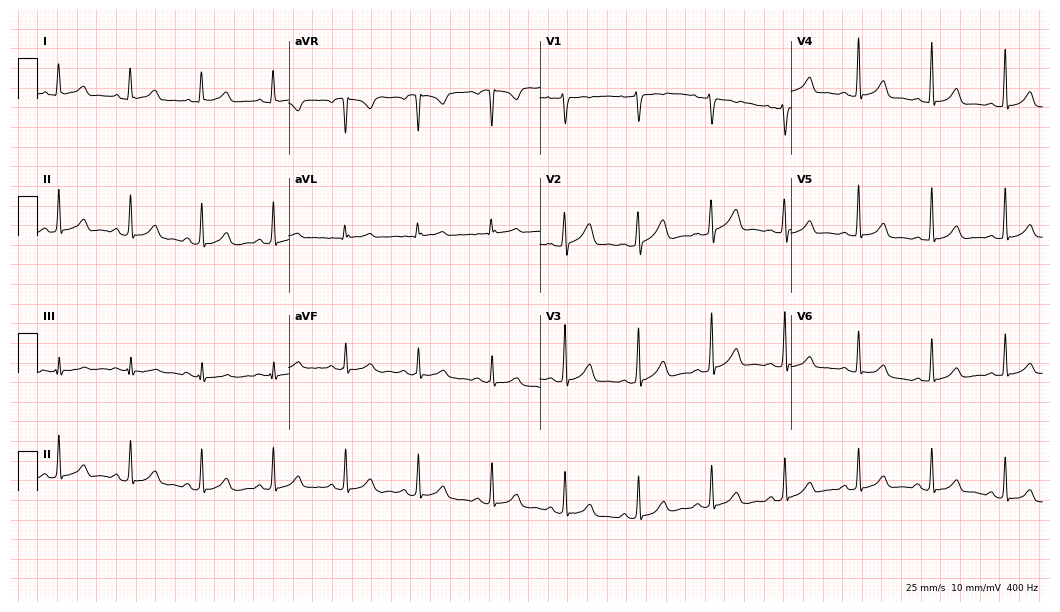
ECG (10.2-second recording at 400 Hz) — a 28-year-old female patient. Labelled as a normal ECG.